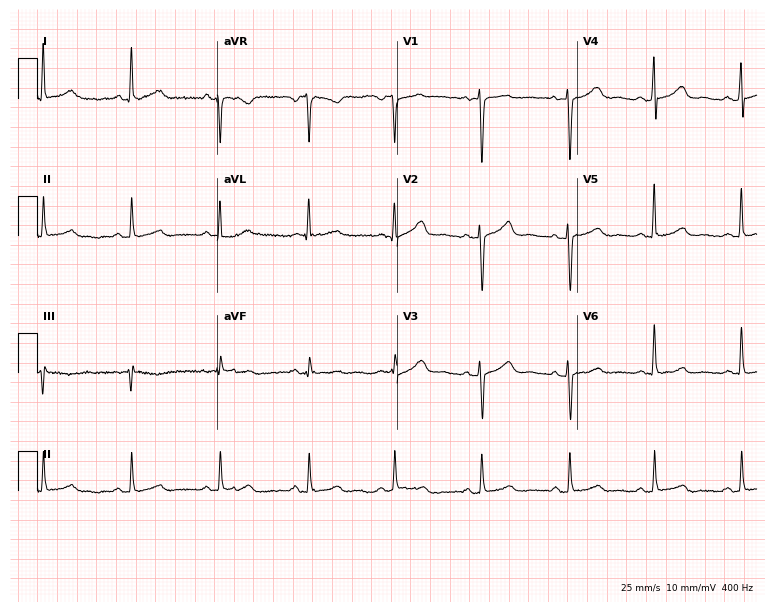
12-lead ECG from a woman, 36 years old (7.3-second recording at 400 Hz). No first-degree AV block, right bundle branch block (RBBB), left bundle branch block (LBBB), sinus bradycardia, atrial fibrillation (AF) or sinus tachycardia recorded for this tracing. Findings outside these six are not listed.